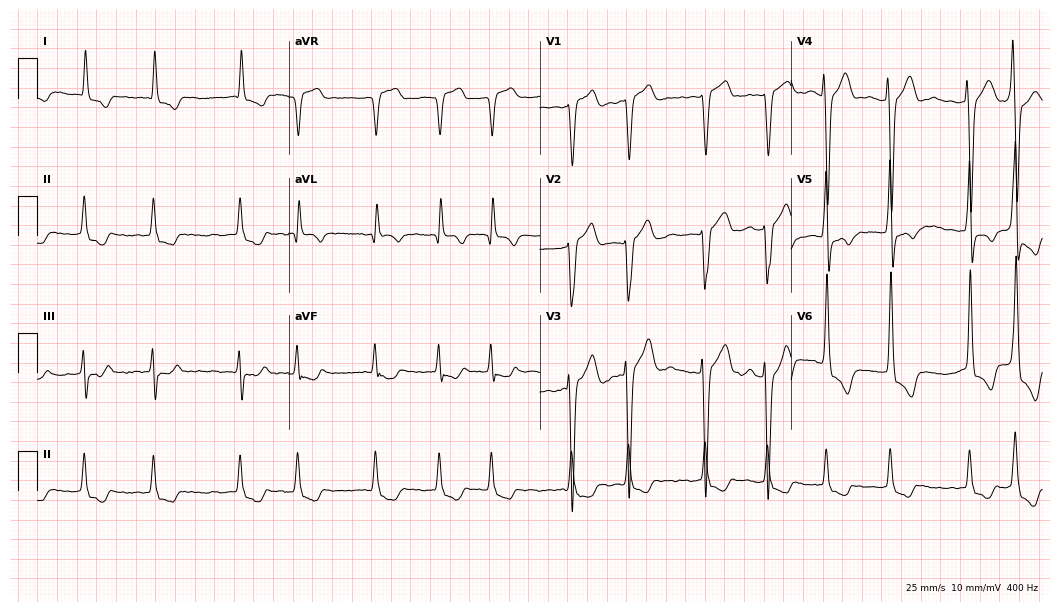
12-lead ECG from a 76-year-old man. Findings include atrial fibrillation (AF).